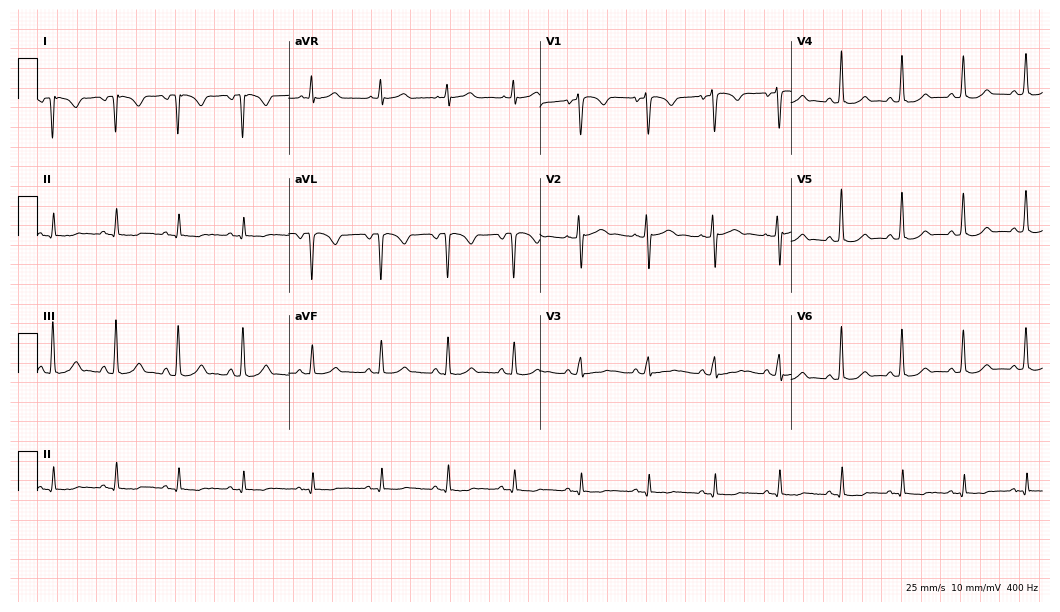
12-lead ECG from a 26-year-old woman. Screened for six findings — first-degree AV block, right bundle branch block, left bundle branch block, sinus bradycardia, atrial fibrillation, sinus tachycardia — none is recorded.